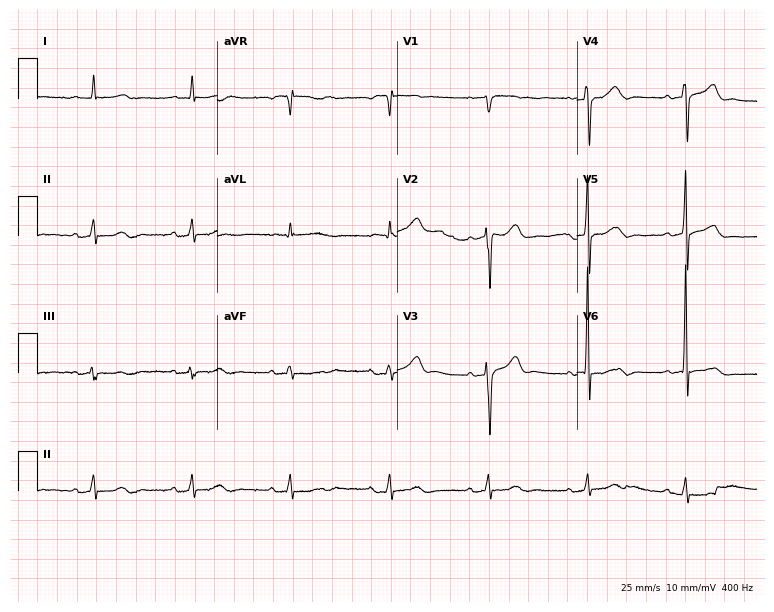
Electrocardiogram, a male, 78 years old. Of the six screened findings (first-degree AV block, right bundle branch block, left bundle branch block, sinus bradycardia, atrial fibrillation, sinus tachycardia), none is recorded. Findings outside these six are not listed.